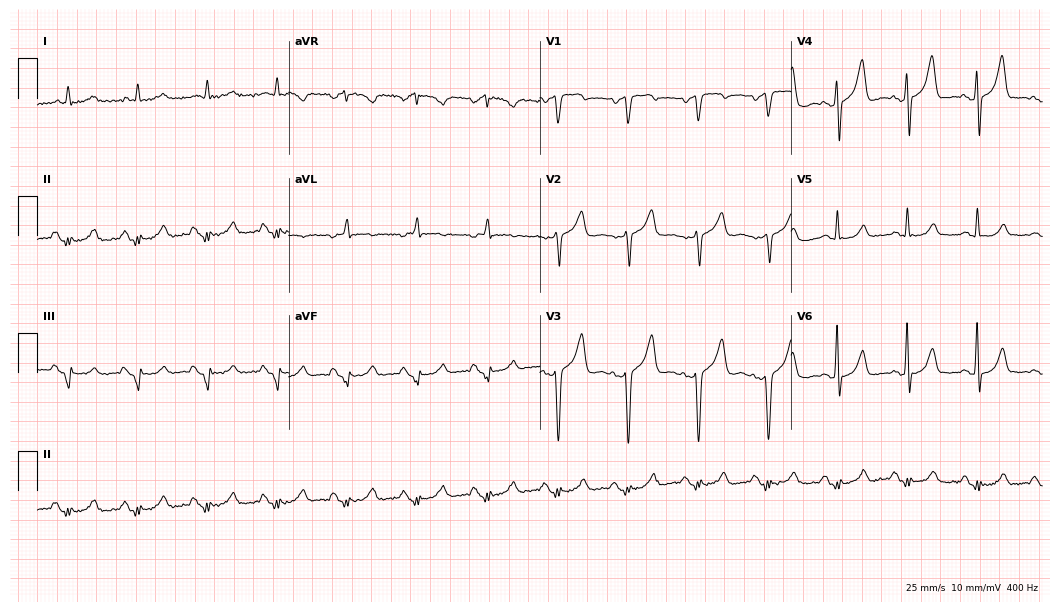
Resting 12-lead electrocardiogram (10.2-second recording at 400 Hz). Patient: a male, 60 years old. None of these six findings is recorded: first-degree AV block, right bundle branch block (RBBB), left bundle branch block (LBBB), sinus bradycardia, atrial fibrillation (AF), sinus tachycardia. Findings outside these six are not listed.